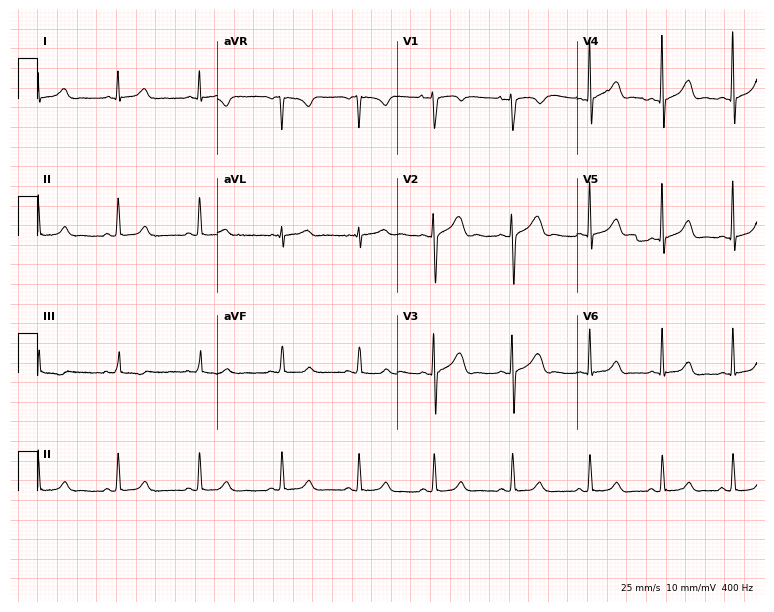
Electrocardiogram (7.3-second recording at 400 Hz), a female patient, 22 years old. Of the six screened findings (first-degree AV block, right bundle branch block (RBBB), left bundle branch block (LBBB), sinus bradycardia, atrial fibrillation (AF), sinus tachycardia), none is recorded.